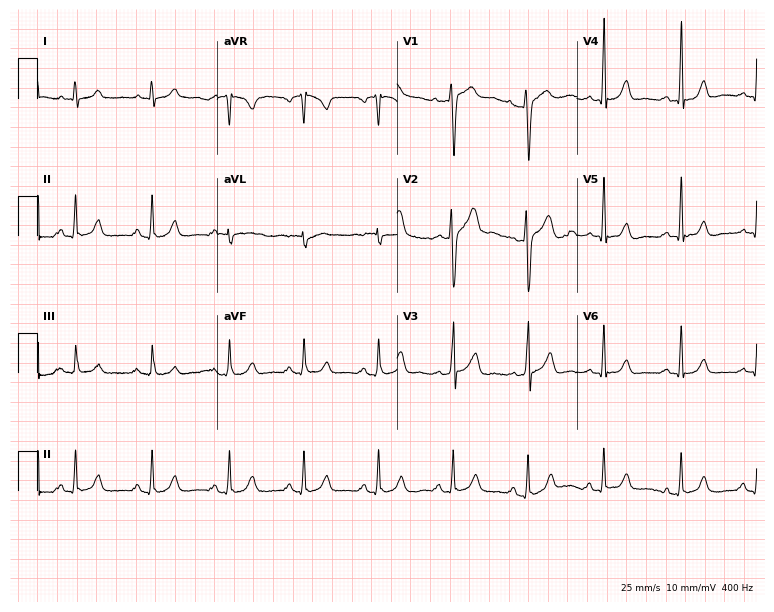
Resting 12-lead electrocardiogram (7.3-second recording at 400 Hz). Patient: a male, 45 years old. None of these six findings is recorded: first-degree AV block, right bundle branch block, left bundle branch block, sinus bradycardia, atrial fibrillation, sinus tachycardia.